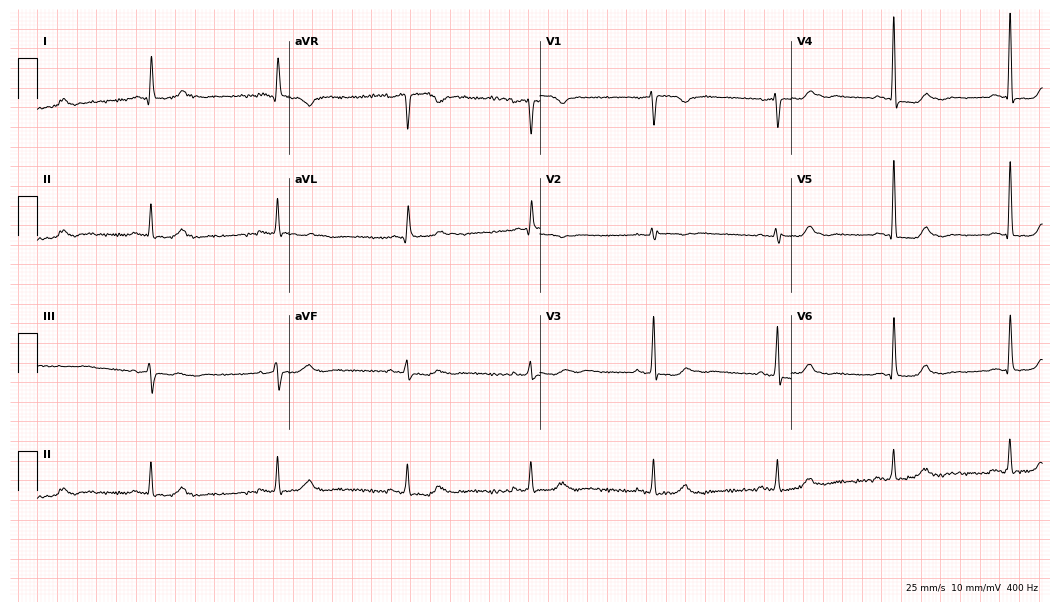
Resting 12-lead electrocardiogram (10.2-second recording at 400 Hz). Patient: a 72-year-old woman. The tracing shows sinus bradycardia (a sinus rate of 50 beats per minute or less).